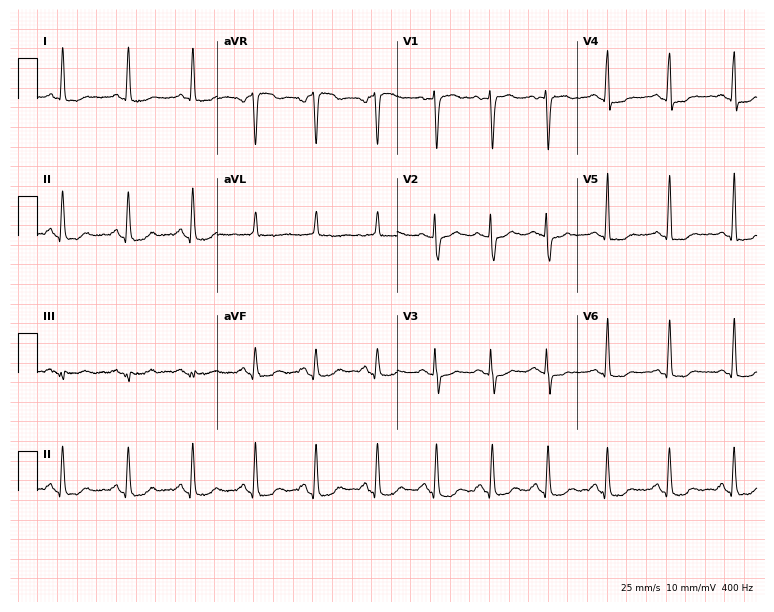
Electrocardiogram, a 58-year-old female. Of the six screened findings (first-degree AV block, right bundle branch block (RBBB), left bundle branch block (LBBB), sinus bradycardia, atrial fibrillation (AF), sinus tachycardia), none is recorded. Findings outside these six are not listed.